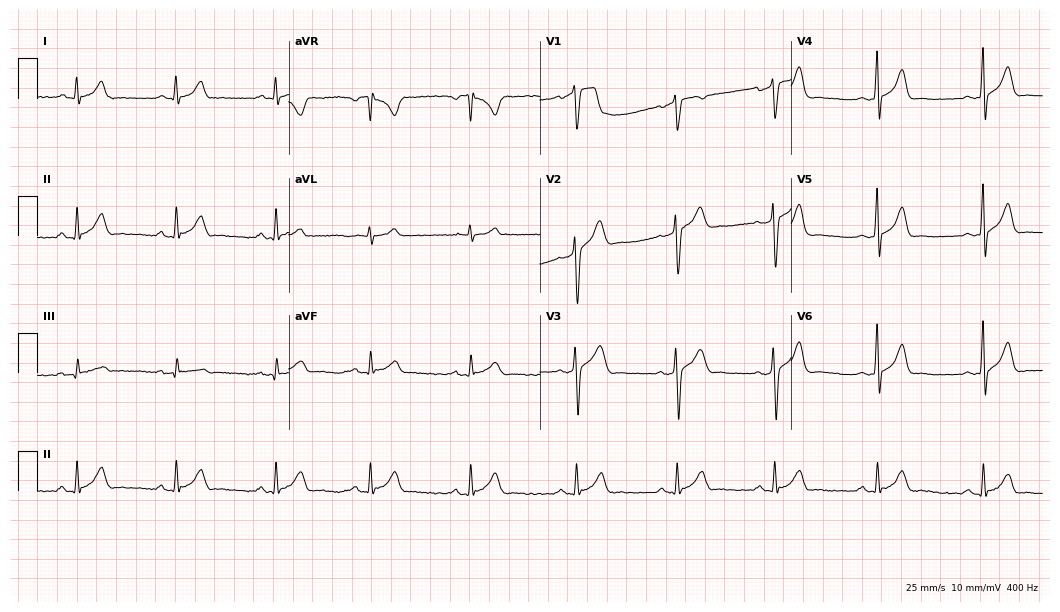
12-lead ECG from a 34-year-old male. Recorded interpretation: within normal limits.